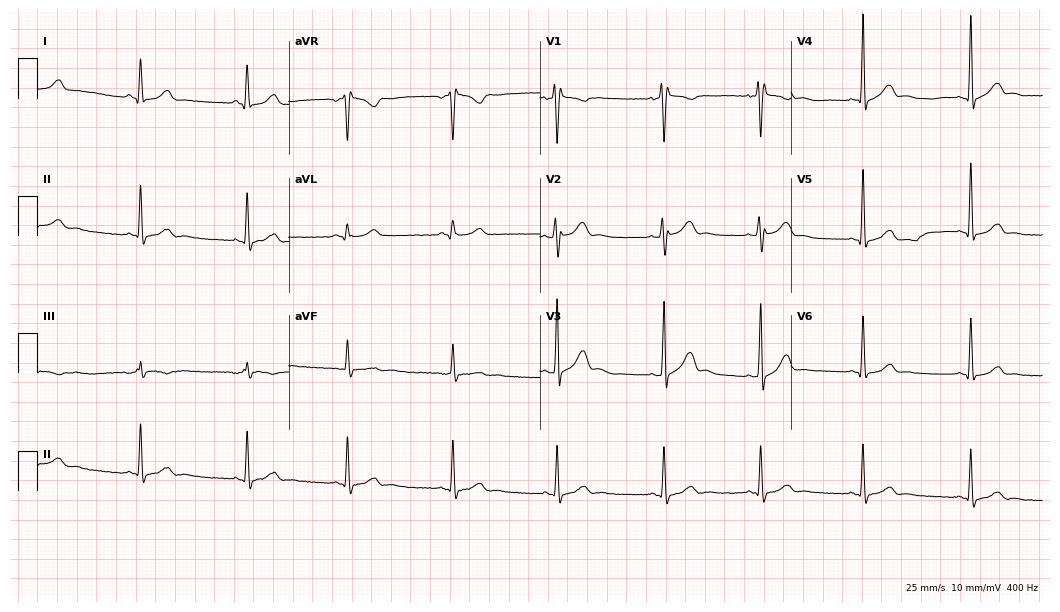
12-lead ECG from a male, 19 years old. Labelled as a normal ECG.